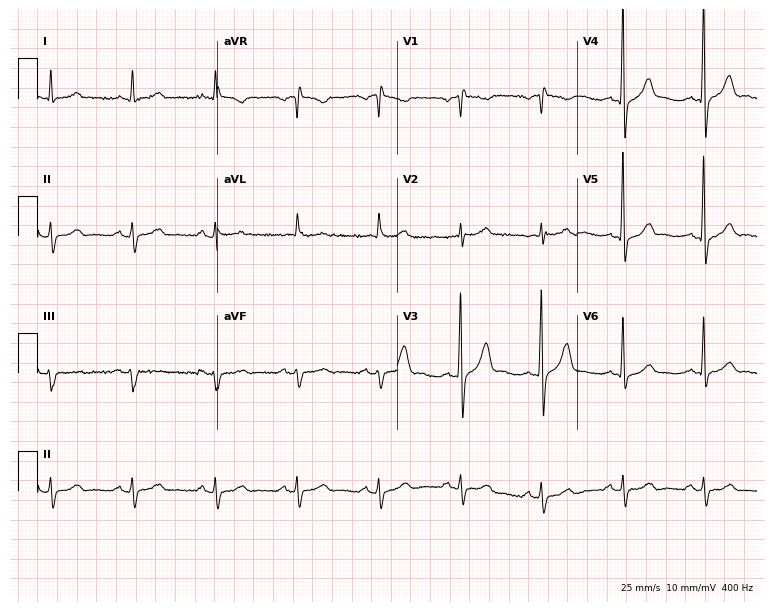
ECG (7.3-second recording at 400 Hz) — a 66-year-old male. Screened for six findings — first-degree AV block, right bundle branch block, left bundle branch block, sinus bradycardia, atrial fibrillation, sinus tachycardia — none is recorded. Other findings, if any, are not listed.